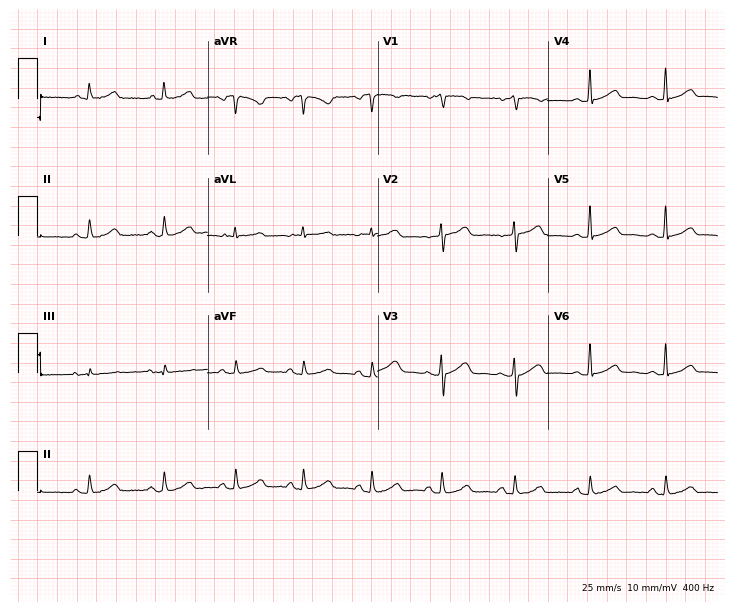
Resting 12-lead electrocardiogram. Patient: a 57-year-old female. None of these six findings is recorded: first-degree AV block, right bundle branch block, left bundle branch block, sinus bradycardia, atrial fibrillation, sinus tachycardia.